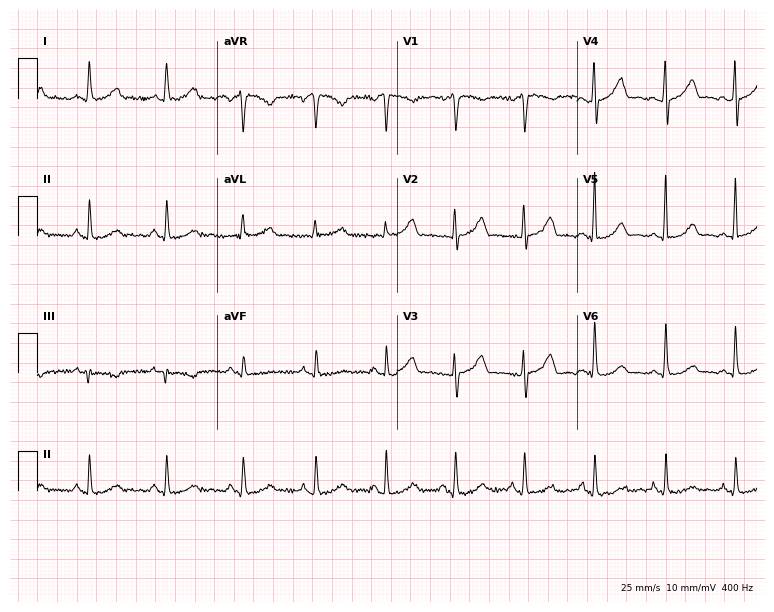
ECG (7.3-second recording at 400 Hz) — a female patient, 51 years old. Labelled as a normal ECG.